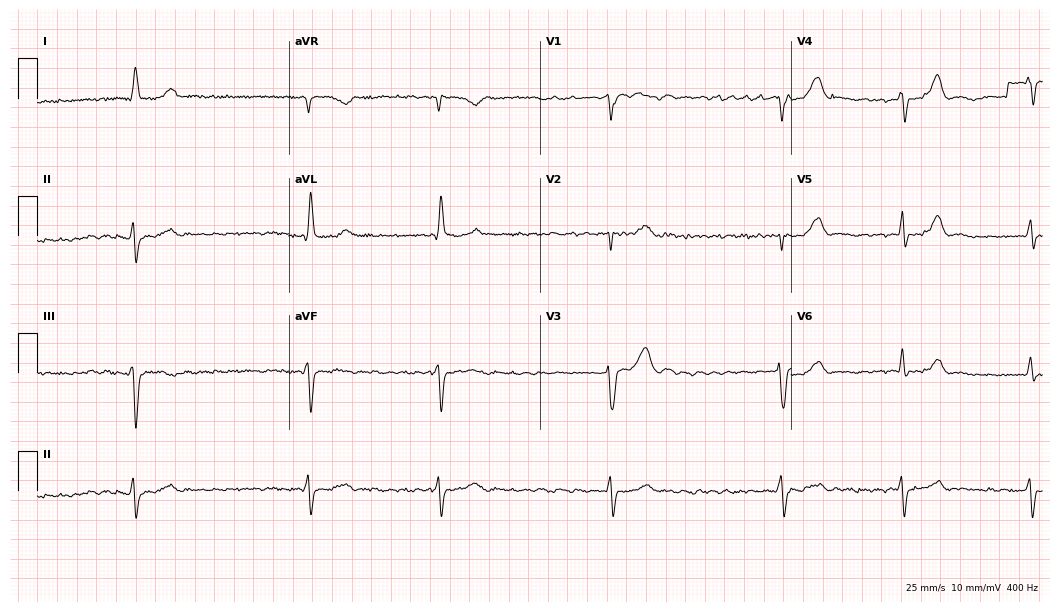
Resting 12-lead electrocardiogram. Patient: a woman, 54 years old. The tracing shows atrial fibrillation.